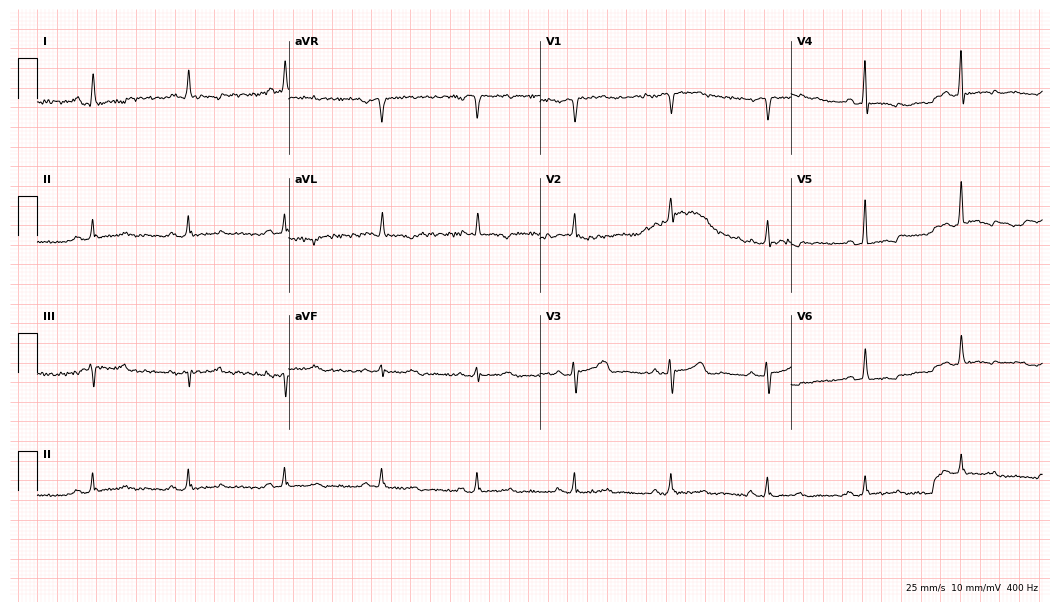
Resting 12-lead electrocardiogram (10.2-second recording at 400 Hz). Patient: a woman, 54 years old. None of these six findings is recorded: first-degree AV block, right bundle branch block, left bundle branch block, sinus bradycardia, atrial fibrillation, sinus tachycardia.